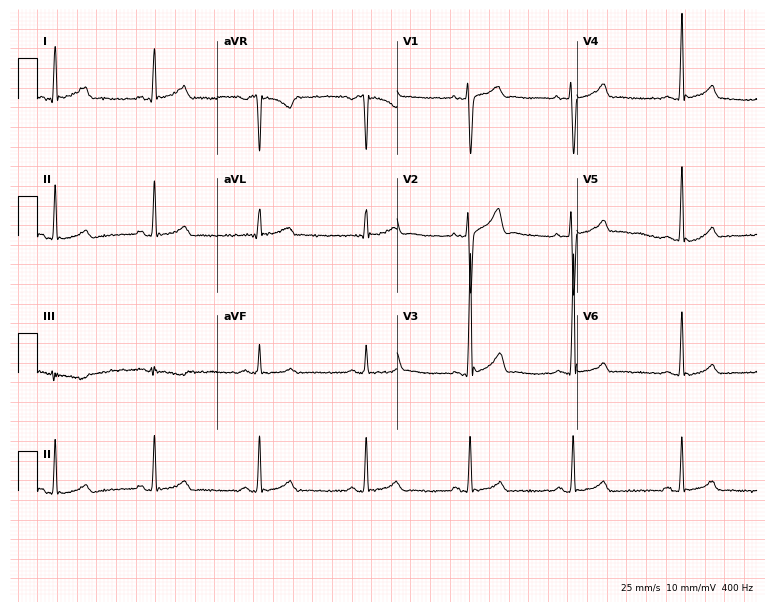
Standard 12-lead ECG recorded from a man, 35 years old (7.3-second recording at 400 Hz). Read as a normal ECG.